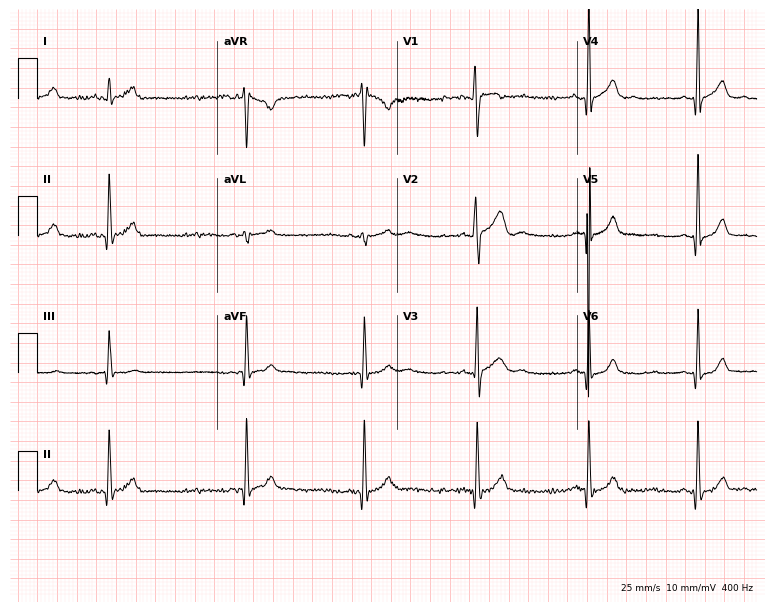
12-lead ECG (7.3-second recording at 400 Hz) from a male patient, 22 years old. Findings include sinus bradycardia (a sinus rate of 50 beats per minute or less).